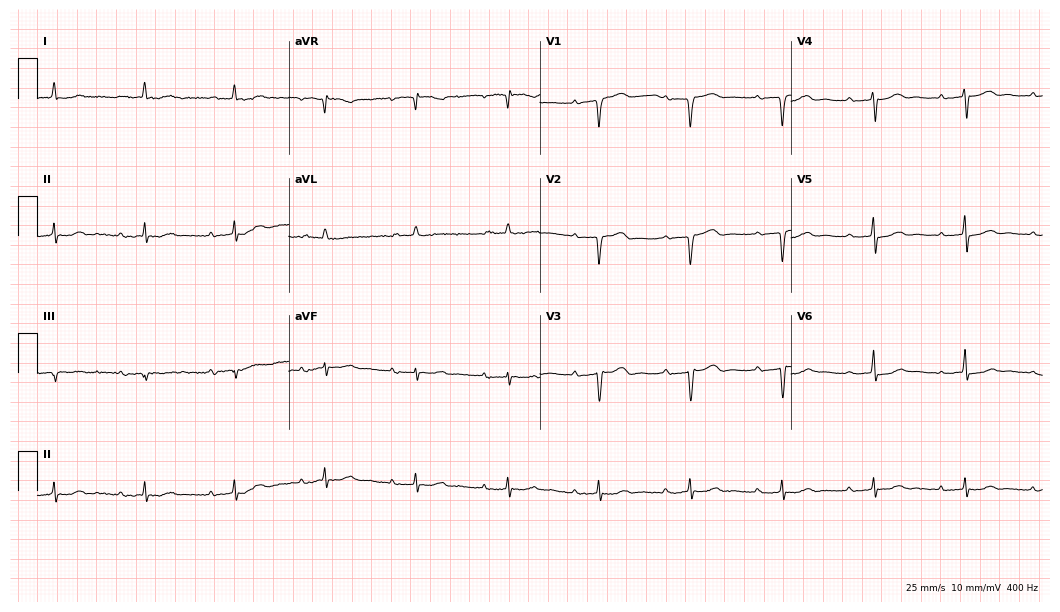
12-lead ECG (10.2-second recording at 400 Hz) from a female, 81 years old. Findings include first-degree AV block.